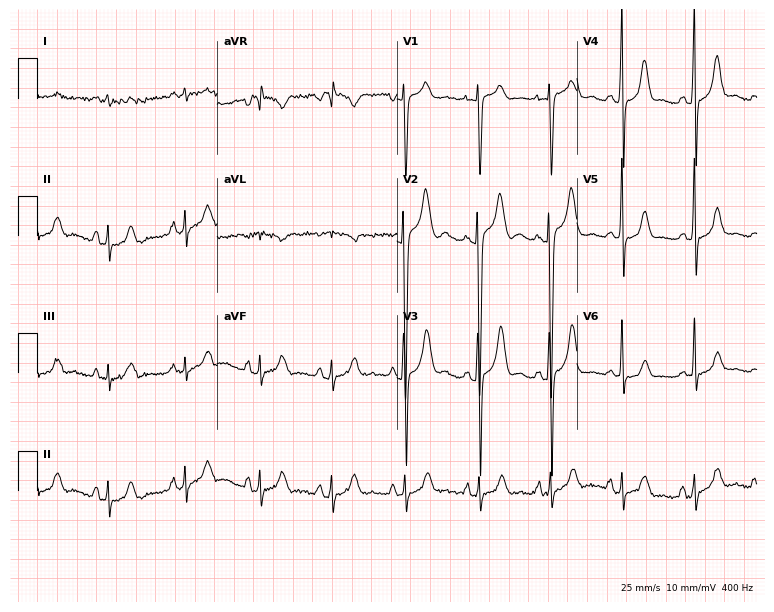
Resting 12-lead electrocardiogram (7.3-second recording at 400 Hz). Patient: a man, 20 years old. Read as a normal ECG.